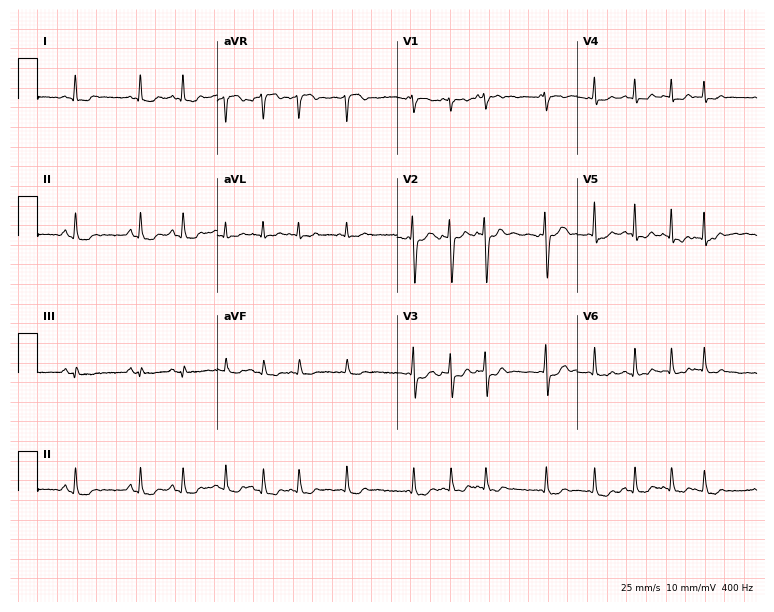
Standard 12-lead ECG recorded from a 72-year-old female. None of these six findings is recorded: first-degree AV block, right bundle branch block, left bundle branch block, sinus bradycardia, atrial fibrillation, sinus tachycardia. Findings outside these six are not listed.